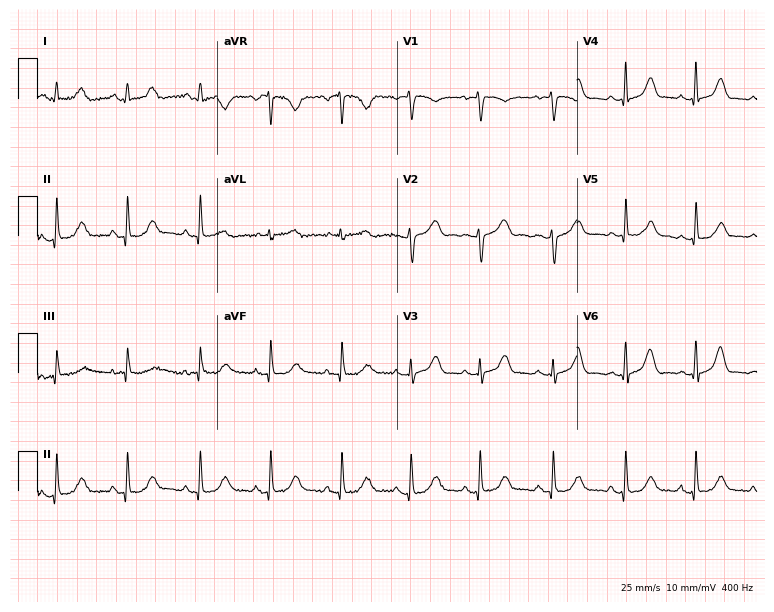
Resting 12-lead electrocardiogram. Patient: a 22-year-old woman. Read as a normal ECG.